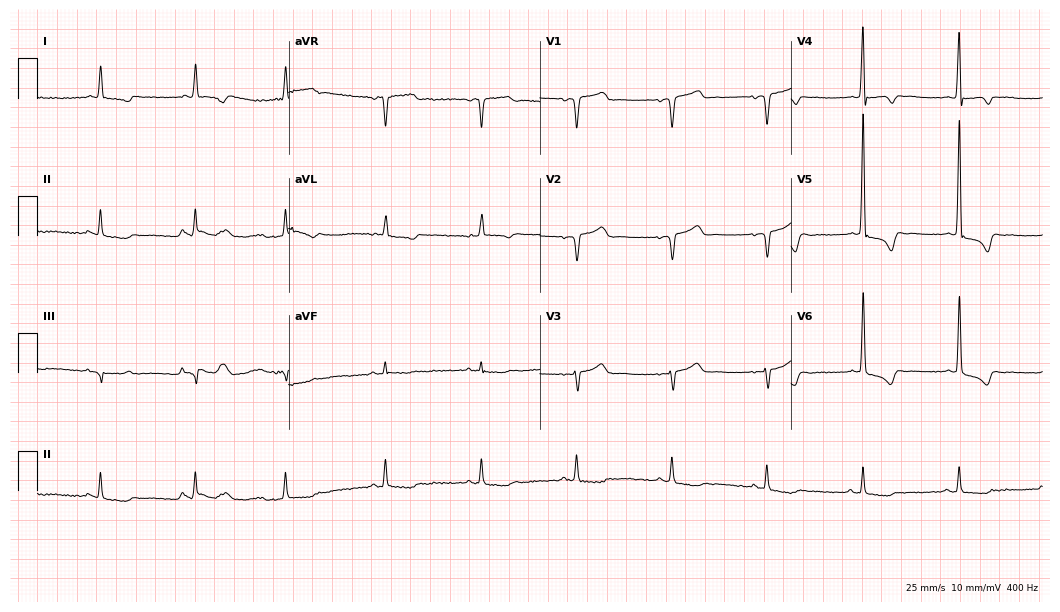
12-lead ECG from a male patient, 75 years old. No first-degree AV block, right bundle branch block (RBBB), left bundle branch block (LBBB), sinus bradycardia, atrial fibrillation (AF) or sinus tachycardia recorded for this tracing.